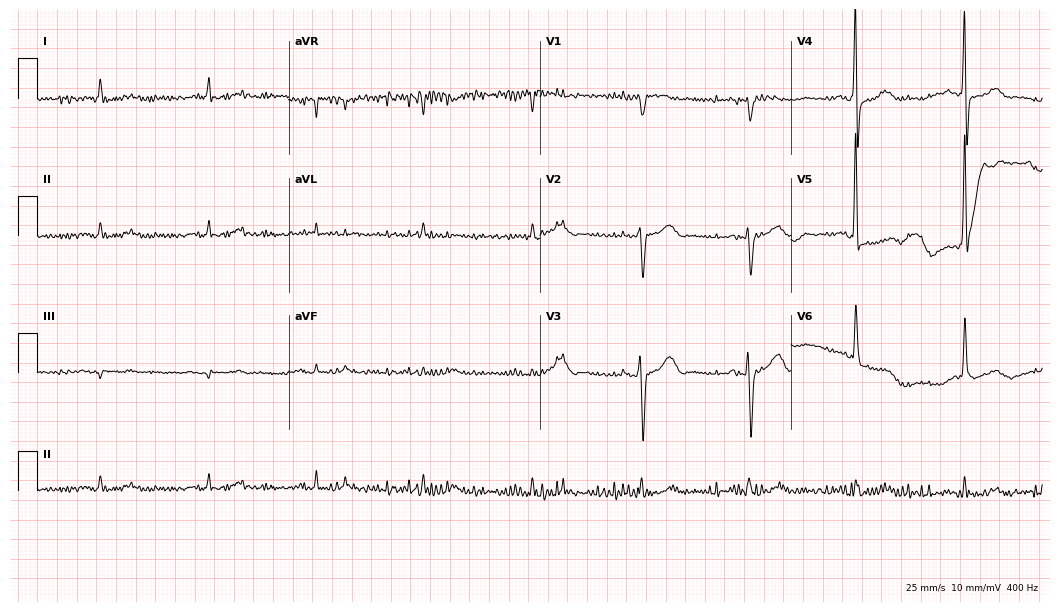
12-lead ECG from a male patient, 83 years old. Screened for six findings — first-degree AV block, right bundle branch block, left bundle branch block, sinus bradycardia, atrial fibrillation, sinus tachycardia — none is recorded.